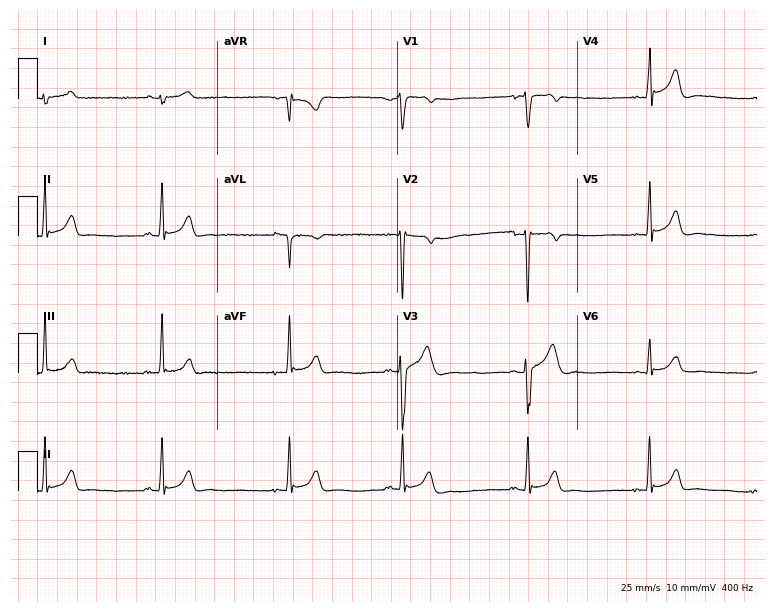
12-lead ECG (7.3-second recording at 400 Hz) from an 18-year-old man. Findings include sinus bradycardia (a sinus rate of 50 beats per minute or less).